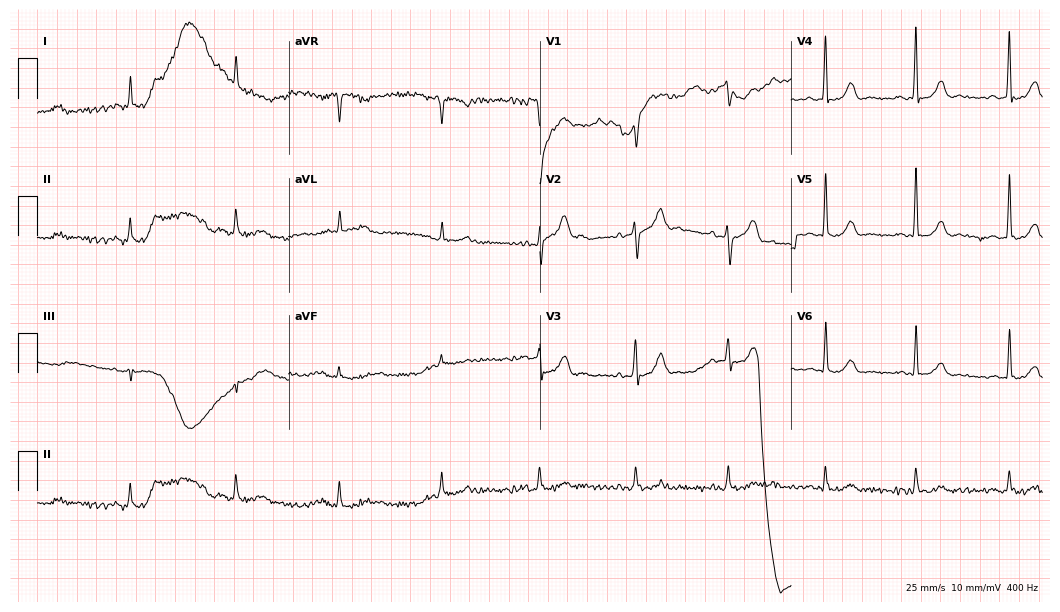
ECG — a 57-year-old male patient. Screened for six findings — first-degree AV block, right bundle branch block, left bundle branch block, sinus bradycardia, atrial fibrillation, sinus tachycardia — none is recorded.